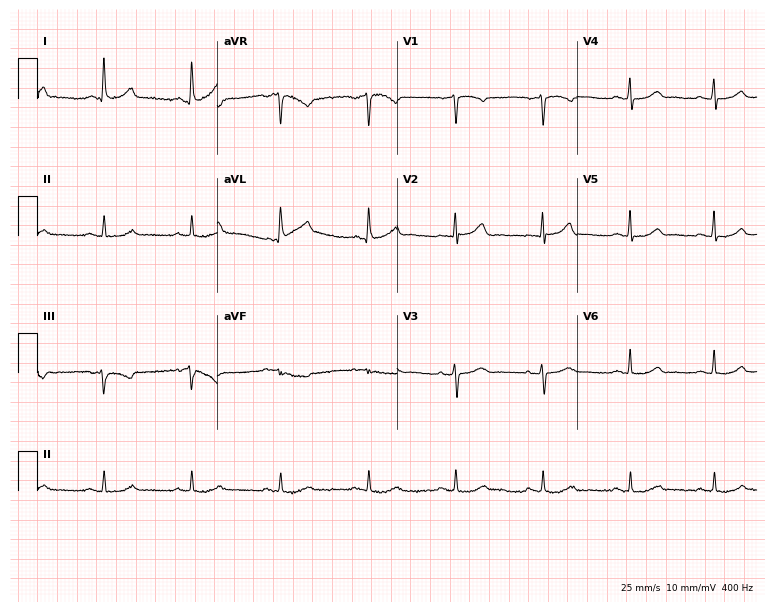
Standard 12-lead ECG recorded from a woman, 70 years old. Read as a normal ECG.